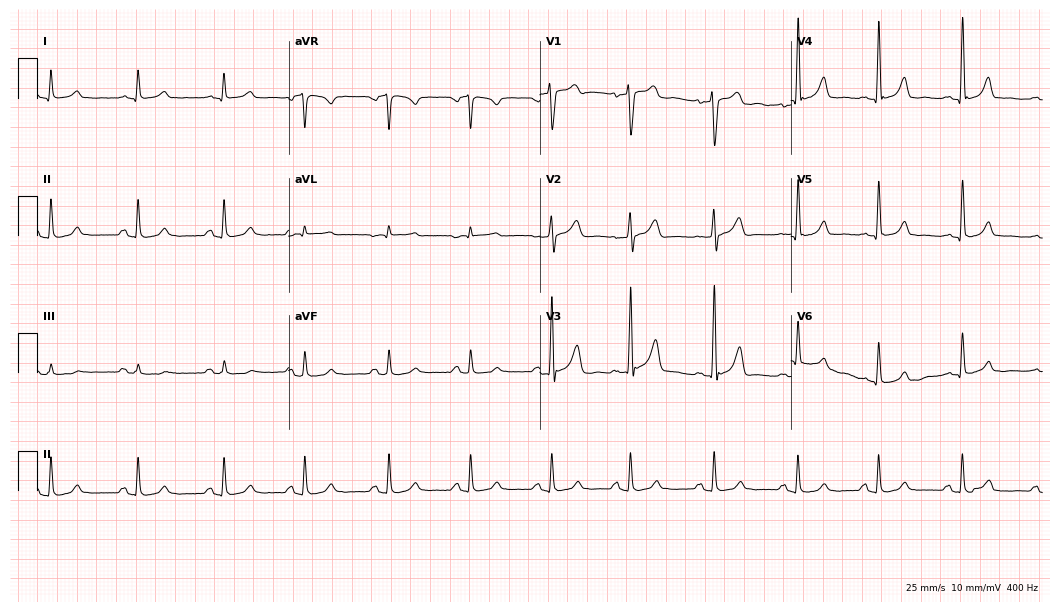
Electrocardiogram, a male patient, 48 years old. Of the six screened findings (first-degree AV block, right bundle branch block (RBBB), left bundle branch block (LBBB), sinus bradycardia, atrial fibrillation (AF), sinus tachycardia), none is recorded. Findings outside these six are not listed.